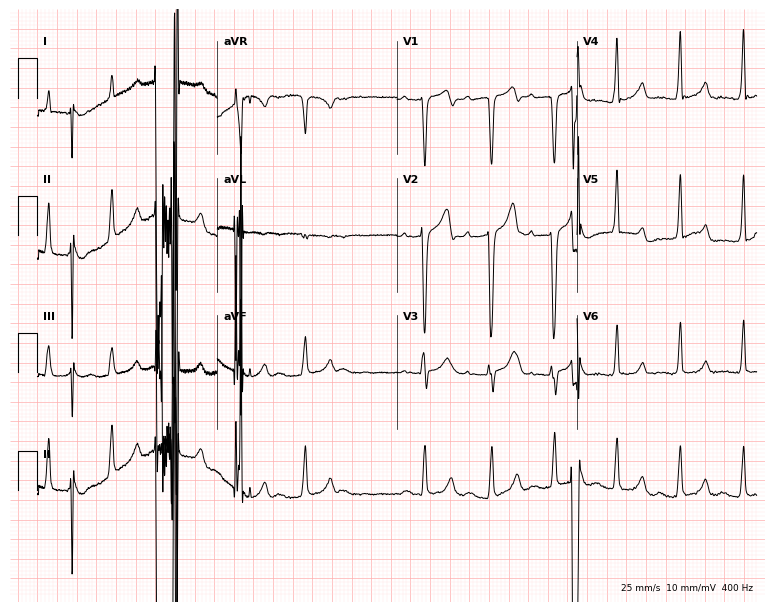
ECG (7.3-second recording at 400 Hz) — a 49-year-old male patient. Screened for six findings — first-degree AV block, right bundle branch block, left bundle branch block, sinus bradycardia, atrial fibrillation, sinus tachycardia — none is recorded.